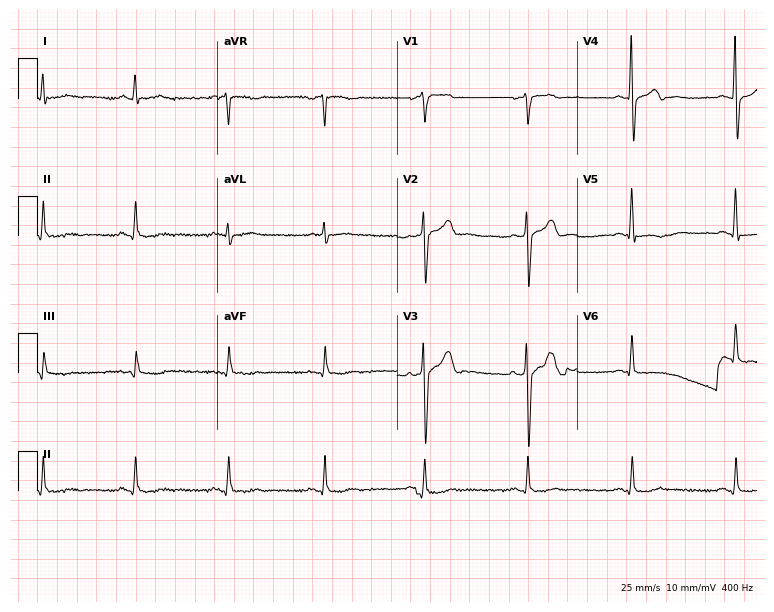
12-lead ECG from a male patient, 47 years old. Screened for six findings — first-degree AV block, right bundle branch block, left bundle branch block, sinus bradycardia, atrial fibrillation, sinus tachycardia — none is recorded. Only these six findings were labelled.